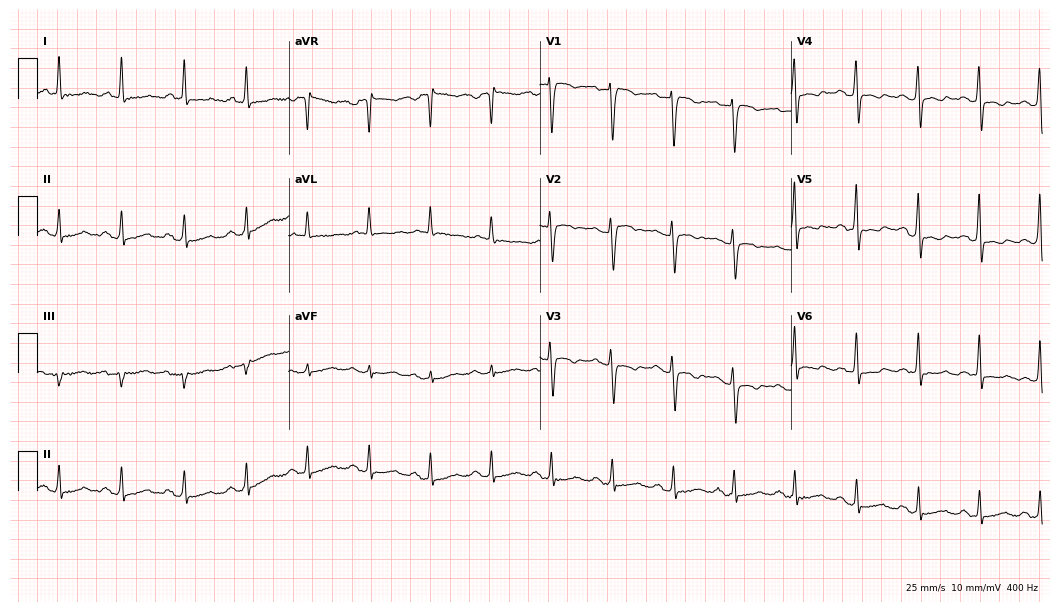
Standard 12-lead ECG recorded from a 47-year-old woman (10.2-second recording at 400 Hz). None of these six findings is recorded: first-degree AV block, right bundle branch block, left bundle branch block, sinus bradycardia, atrial fibrillation, sinus tachycardia. Only these six findings were labelled.